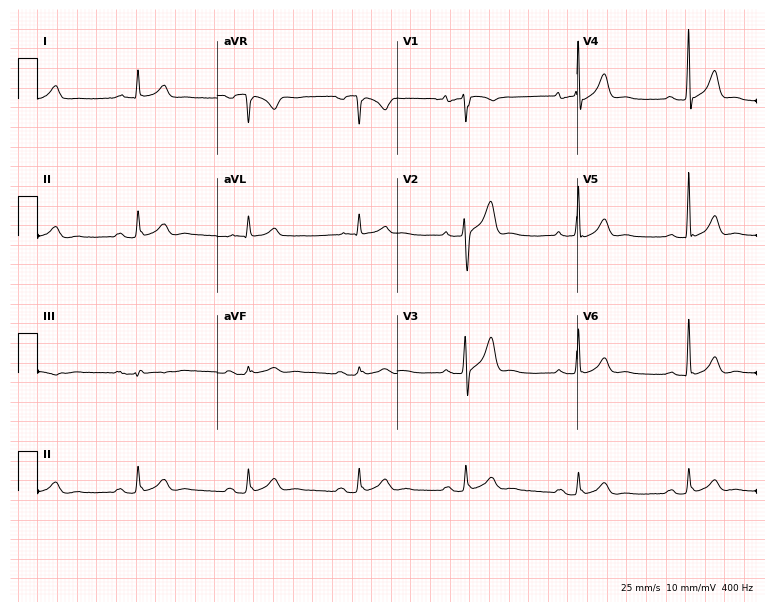
12-lead ECG from a 71-year-old man (7.3-second recording at 400 Hz). Shows first-degree AV block.